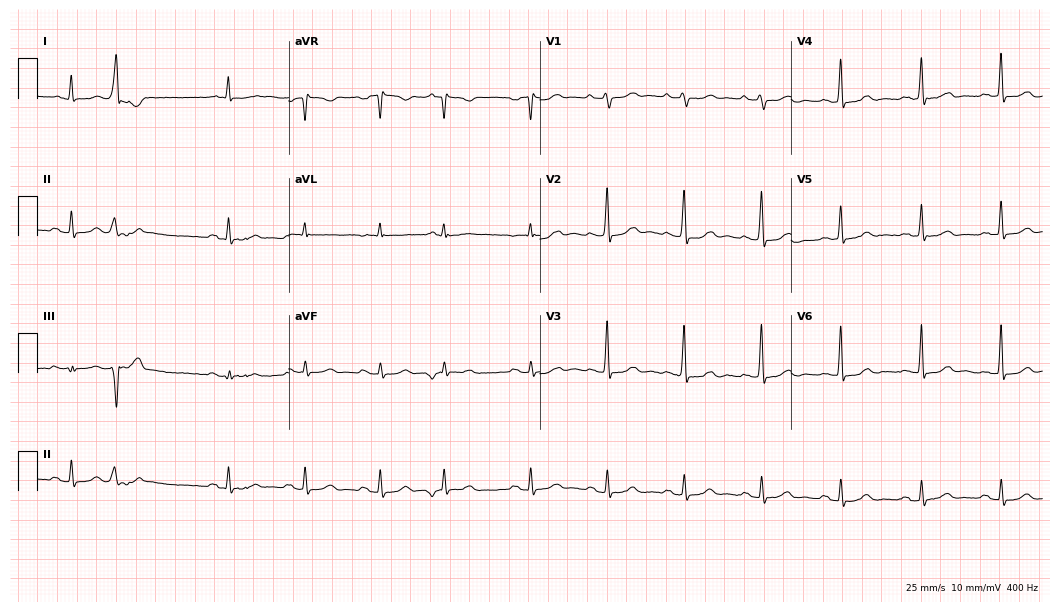
Standard 12-lead ECG recorded from a man, 67 years old. None of these six findings is recorded: first-degree AV block, right bundle branch block (RBBB), left bundle branch block (LBBB), sinus bradycardia, atrial fibrillation (AF), sinus tachycardia. Only these six findings were labelled.